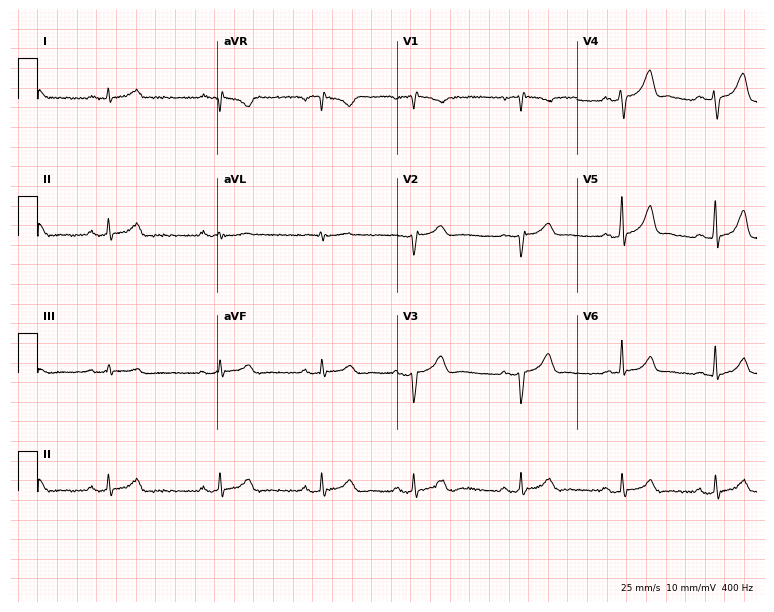
Standard 12-lead ECG recorded from a female patient, 44 years old (7.3-second recording at 400 Hz). None of these six findings is recorded: first-degree AV block, right bundle branch block, left bundle branch block, sinus bradycardia, atrial fibrillation, sinus tachycardia.